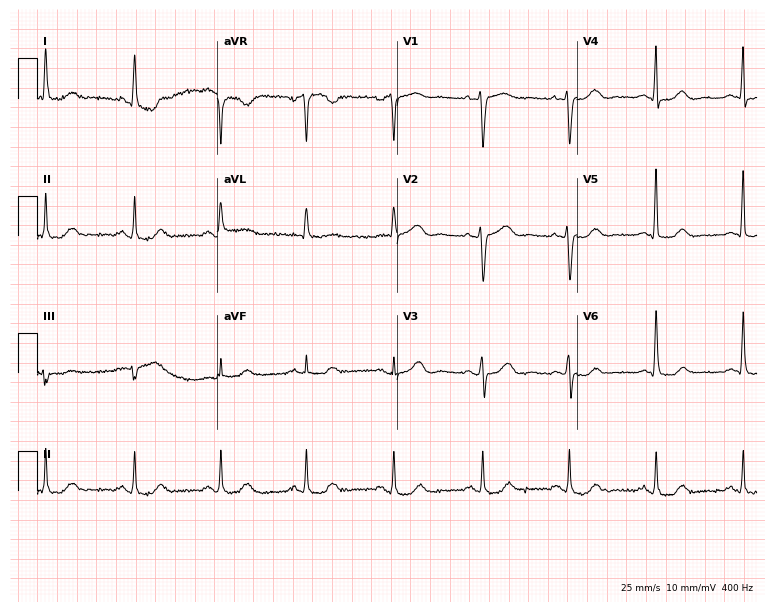
Standard 12-lead ECG recorded from a woman, 63 years old. Read as a normal ECG.